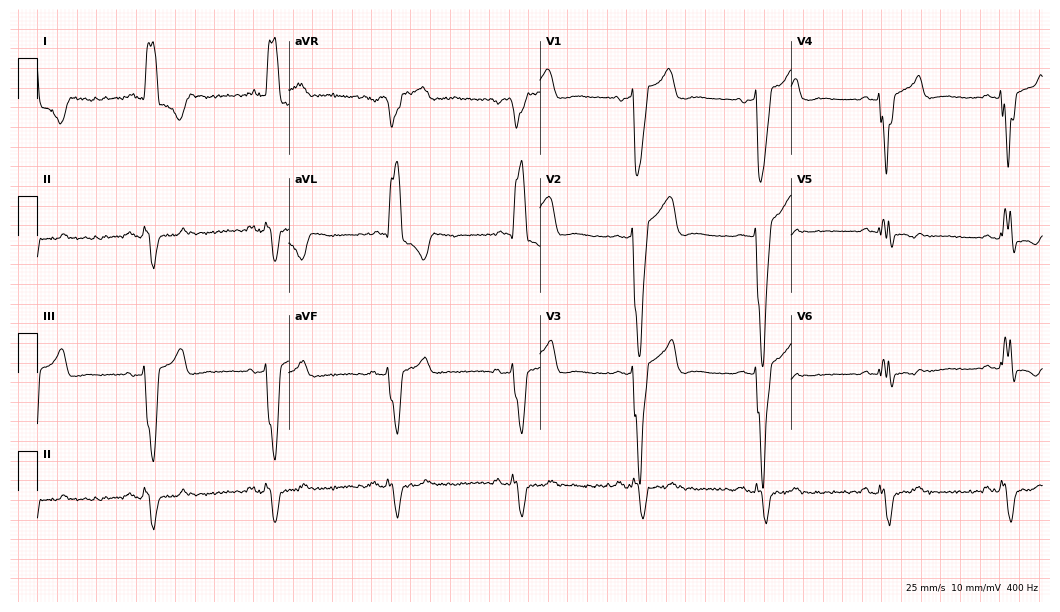
12-lead ECG from a male, 69 years old. Findings include left bundle branch block.